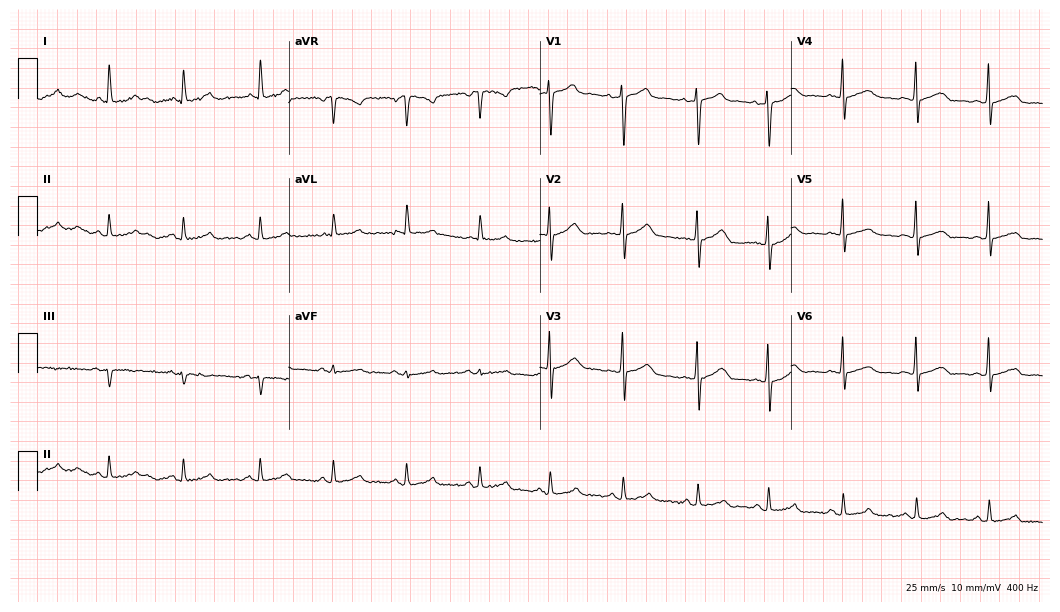
Resting 12-lead electrocardiogram (10.2-second recording at 400 Hz). Patient: a woman, 35 years old. Read as a normal ECG.